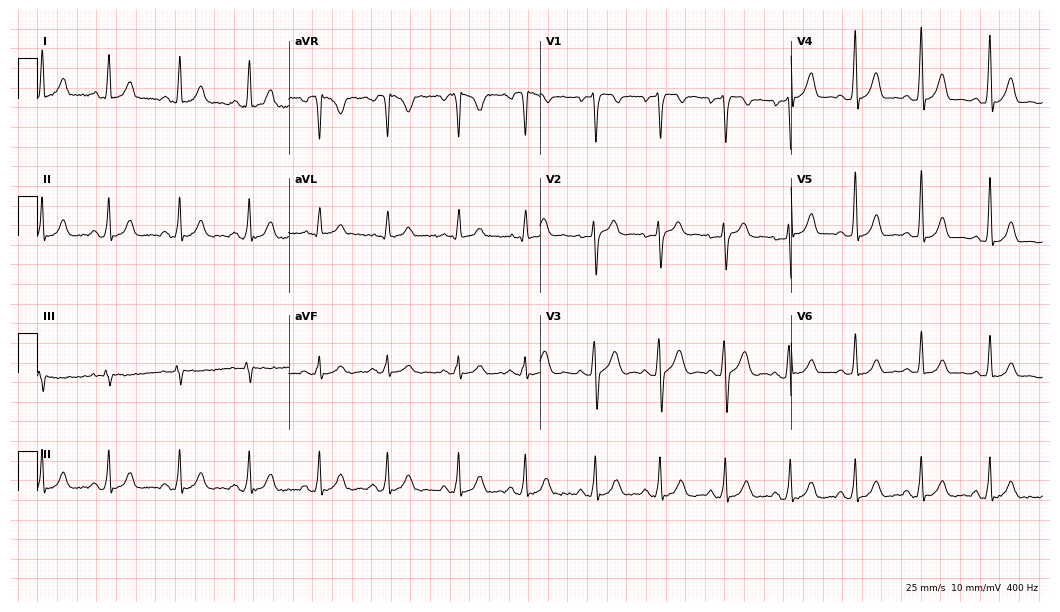
12-lead ECG from a male, 36 years old. No first-degree AV block, right bundle branch block, left bundle branch block, sinus bradycardia, atrial fibrillation or sinus tachycardia recorded for this tracing.